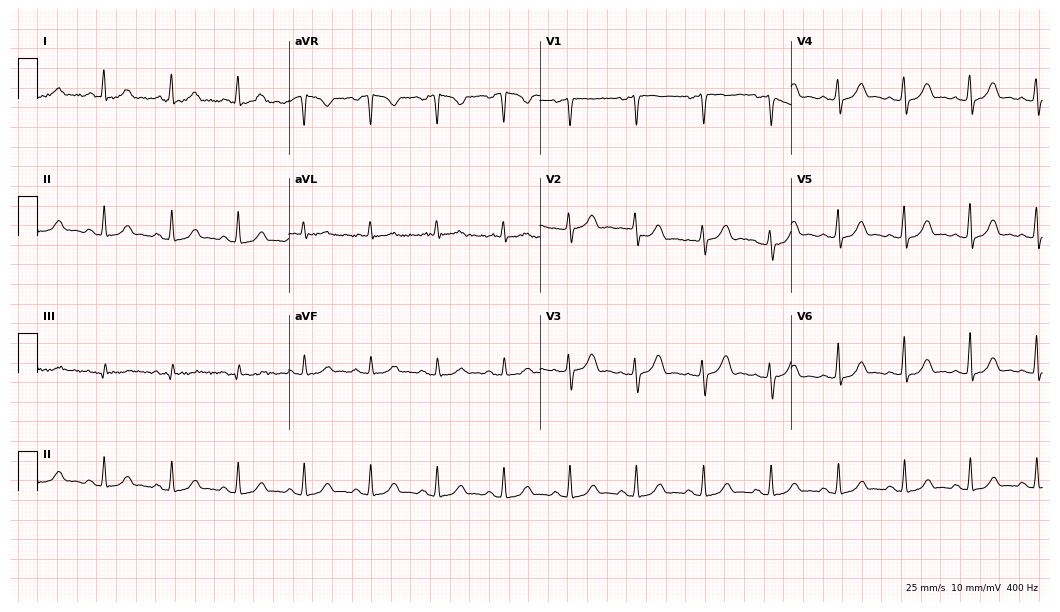
Resting 12-lead electrocardiogram. Patient: a female, 52 years old. Read as a normal ECG.